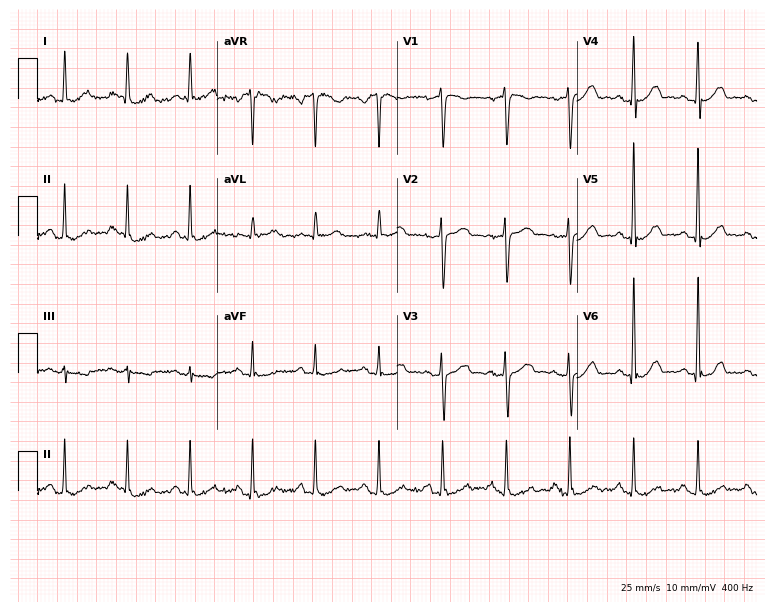
12-lead ECG (7.3-second recording at 400 Hz) from a 55-year-old male. Labelled as a normal ECG.